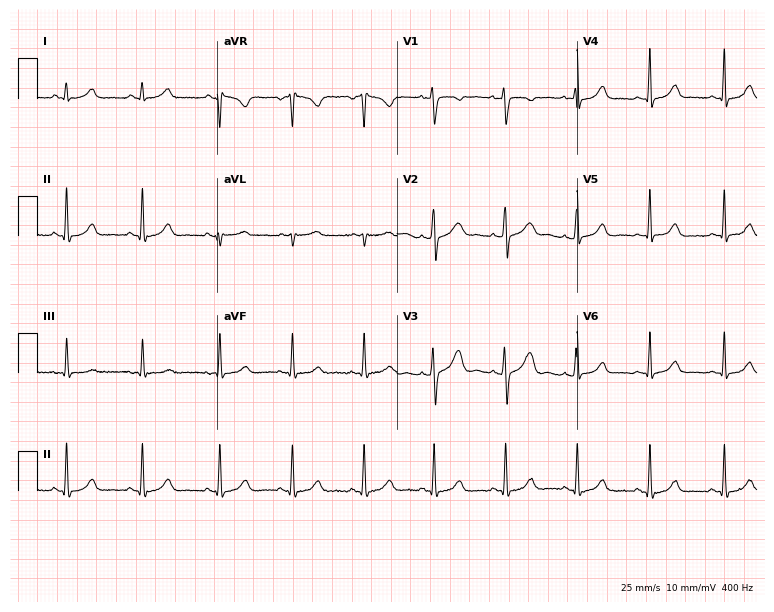
ECG — an 18-year-old female. Labelled as a normal ECG.